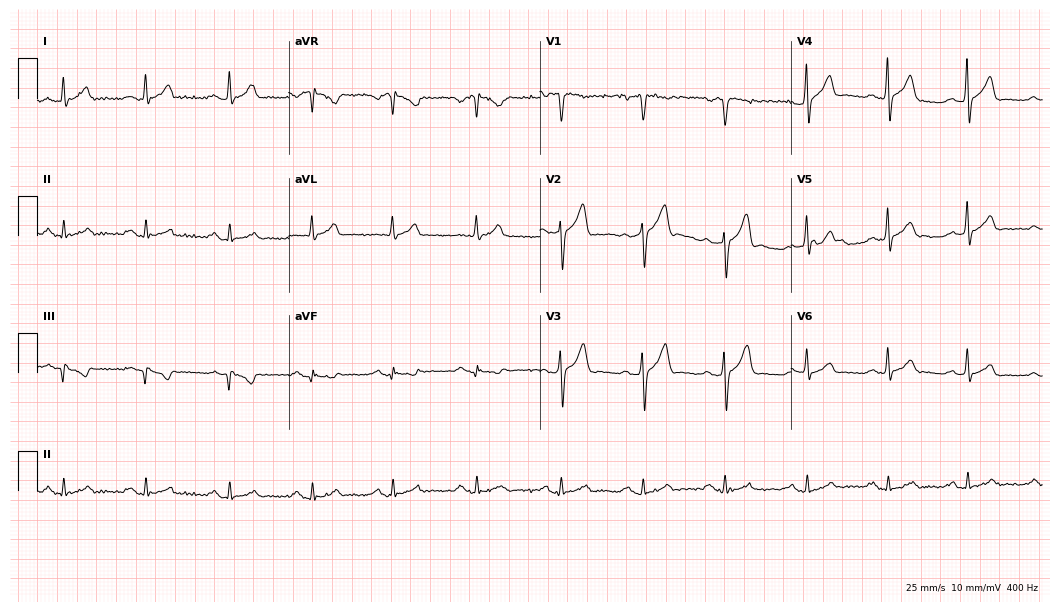
Electrocardiogram, a male, 49 years old. Of the six screened findings (first-degree AV block, right bundle branch block (RBBB), left bundle branch block (LBBB), sinus bradycardia, atrial fibrillation (AF), sinus tachycardia), none is recorded. Only these six findings were labelled.